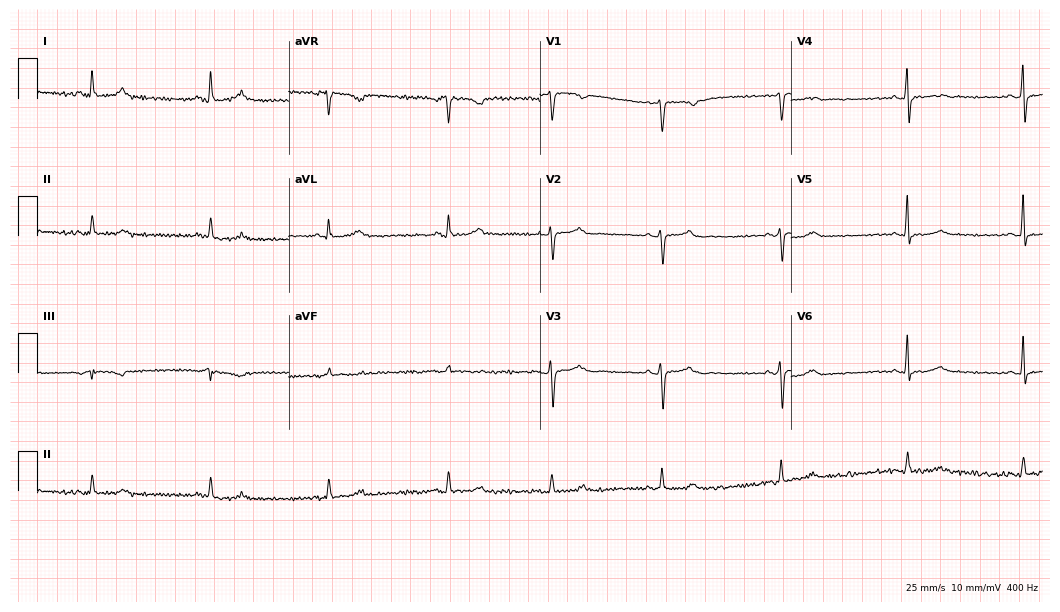
Resting 12-lead electrocardiogram. Patient: a 41-year-old female. None of these six findings is recorded: first-degree AV block, right bundle branch block, left bundle branch block, sinus bradycardia, atrial fibrillation, sinus tachycardia.